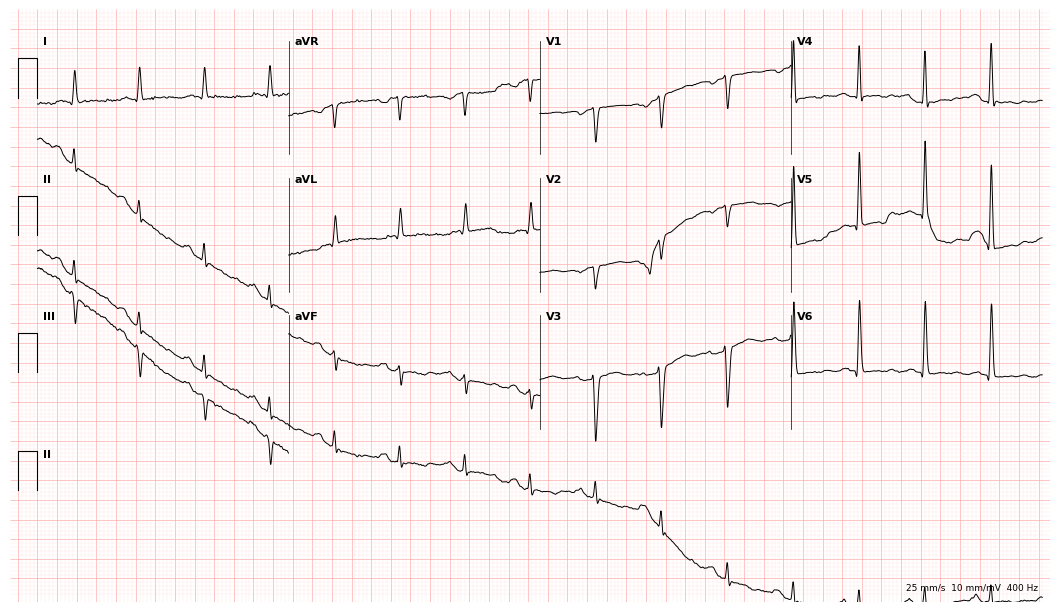
12-lead ECG from a 52-year-old man (10.2-second recording at 400 Hz). No first-degree AV block, right bundle branch block, left bundle branch block, sinus bradycardia, atrial fibrillation or sinus tachycardia recorded for this tracing.